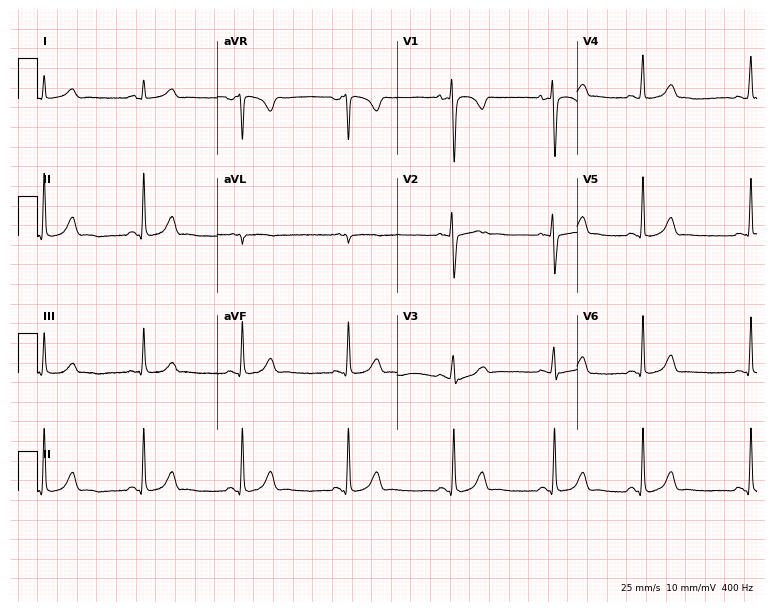
ECG (7.3-second recording at 400 Hz) — a 25-year-old woman. Labelled as a normal ECG.